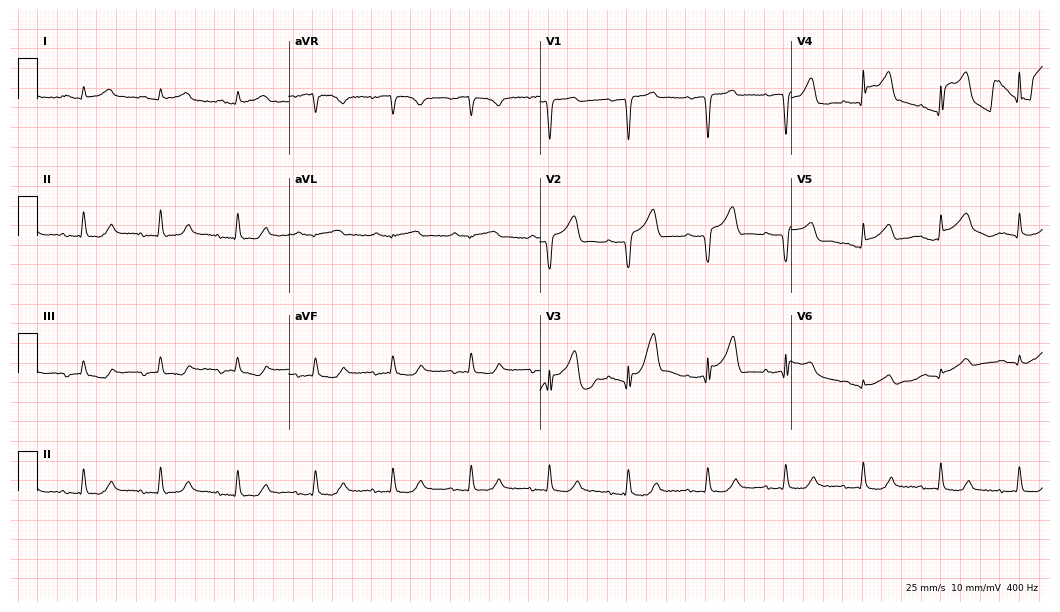
Electrocardiogram (10.2-second recording at 400 Hz), a 77-year-old man. Of the six screened findings (first-degree AV block, right bundle branch block, left bundle branch block, sinus bradycardia, atrial fibrillation, sinus tachycardia), none is recorded.